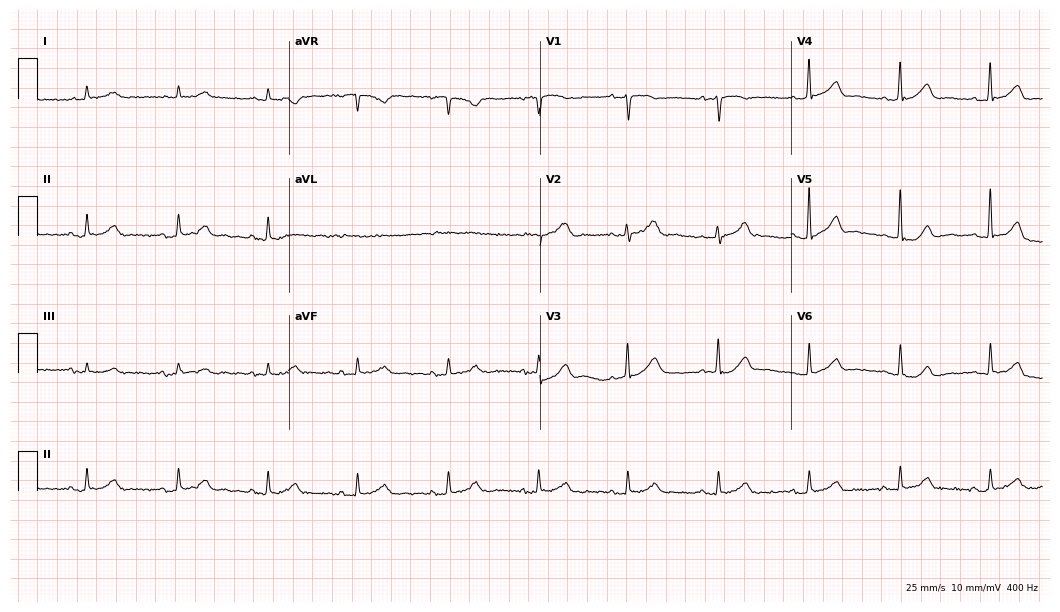
Electrocardiogram (10.2-second recording at 400 Hz), an 85-year-old female. Overall reading on record: normal ECG.